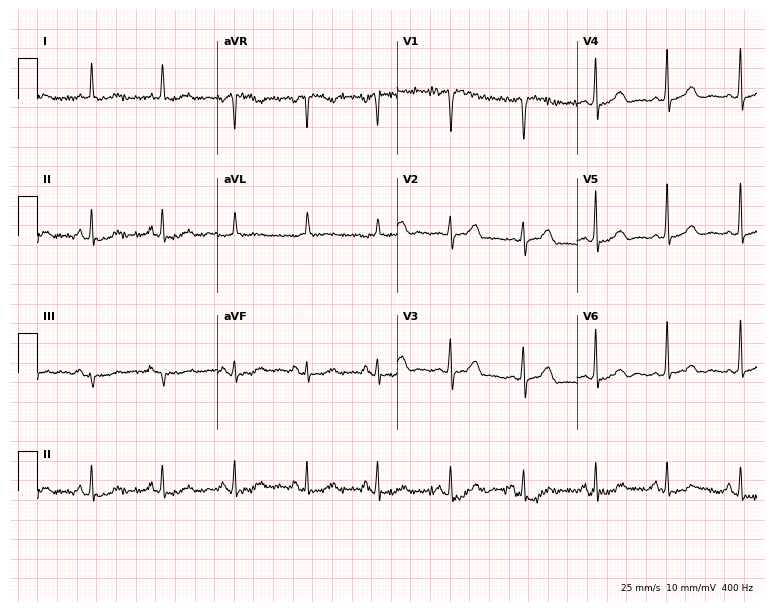
Standard 12-lead ECG recorded from a woman, 77 years old (7.3-second recording at 400 Hz). None of these six findings is recorded: first-degree AV block, right bundle branch block (RBBB), left bundle branch block (LBBB), sinus bradycardia, atrial fibrillation (AF), sinus tachycardia.